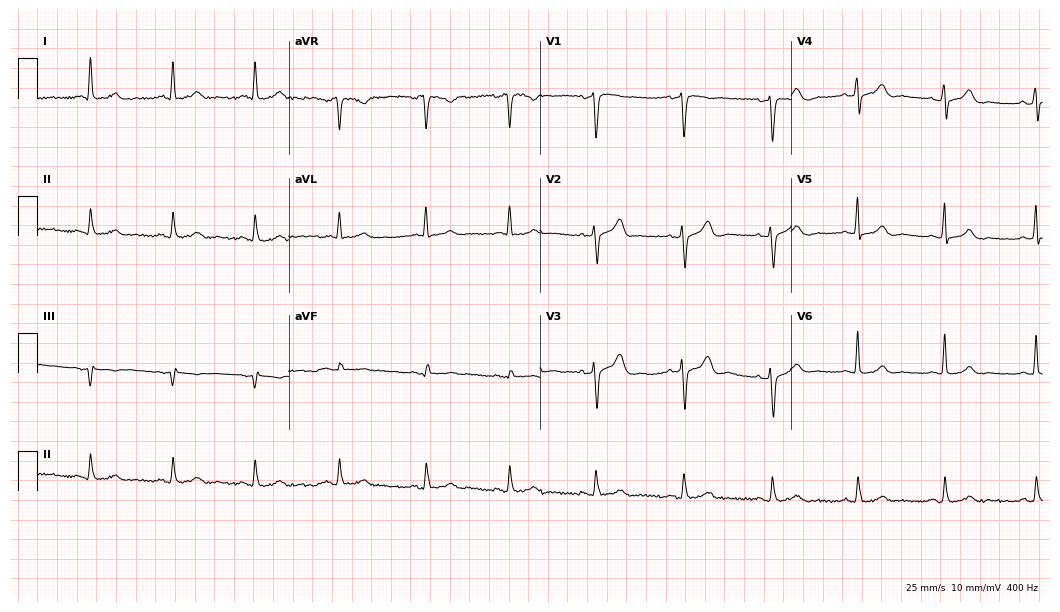
Resting 12-lead electrocardiogram. Patient: a 63-year-old female. None of these six findings is recorded: first-degree AV block, right bundle branch block (RBBB), left bundle branch block (LBBB), sinus bradycardia, atrial fibrillation (AF), sinus tachycardia.